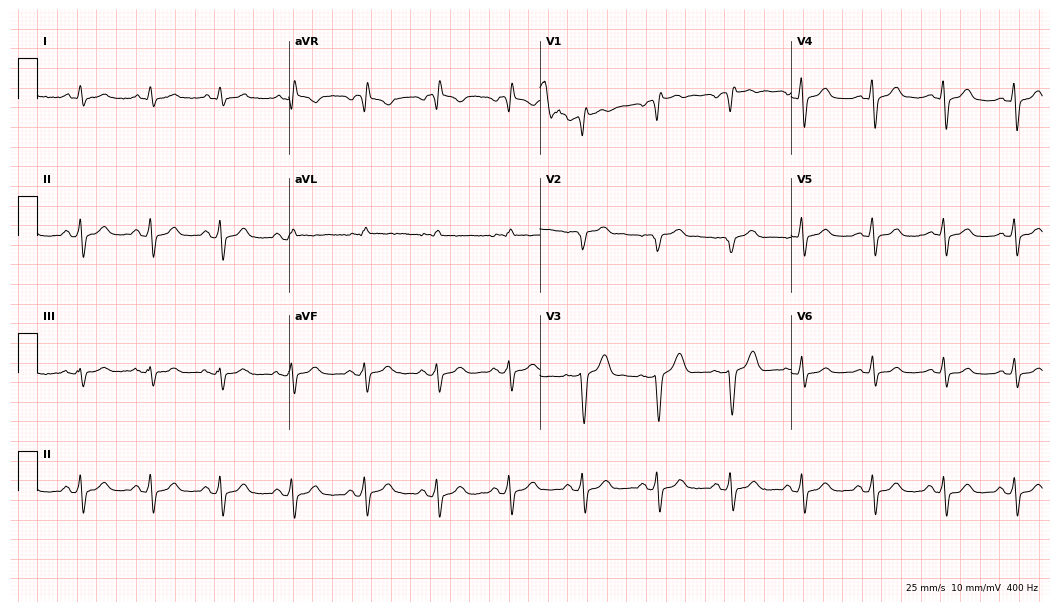
Electrocardiogram, a 57-year-old male patient. Of the six screened findings (first-degree AV block, right bundle branch block, left bundle branch block, sinus bradycardia, atrial fibrillation, sinus tachycardia), none is recorded.